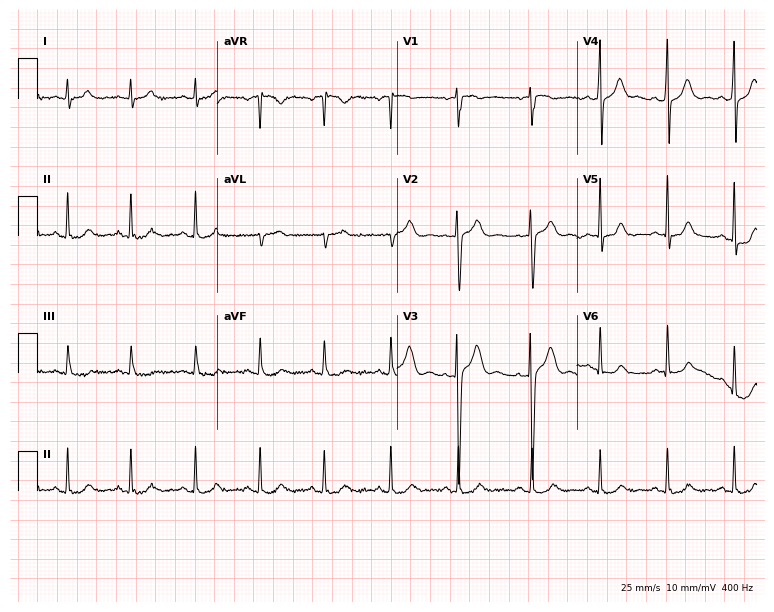
Standard 12-lead ECG recorded from a woman, 28 years old. None of these six findings is recorded: first-degree AV block, right bundle branch block, left bundle branch block, sinus bradycardia, atrial fibrillation, sinus tachycardia. Other findings, if any, are not listed.